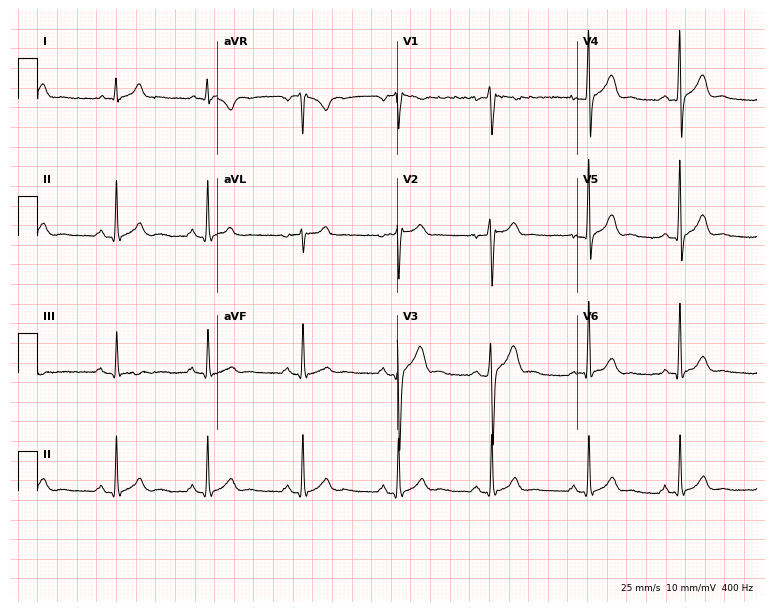
Standard 12-lead ECG recorded from a male, 25 years old (7.3-second recording at 400 Hz). Read as a normal ECG.